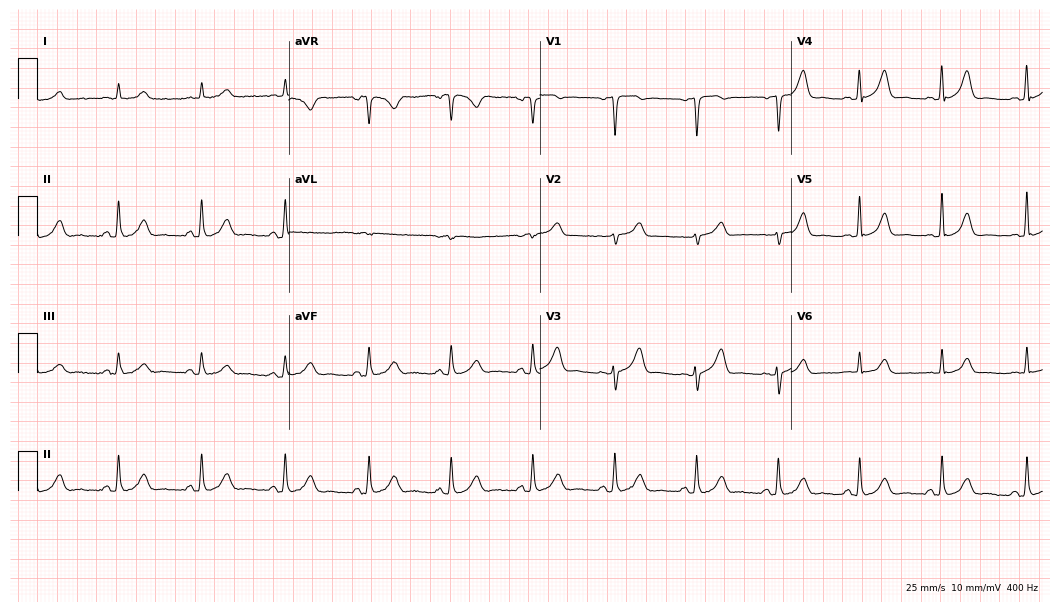
12-lead ECG (10.2-second recording at 400 Hz) from a male, 66 years old. Labelled as a normal ECG.